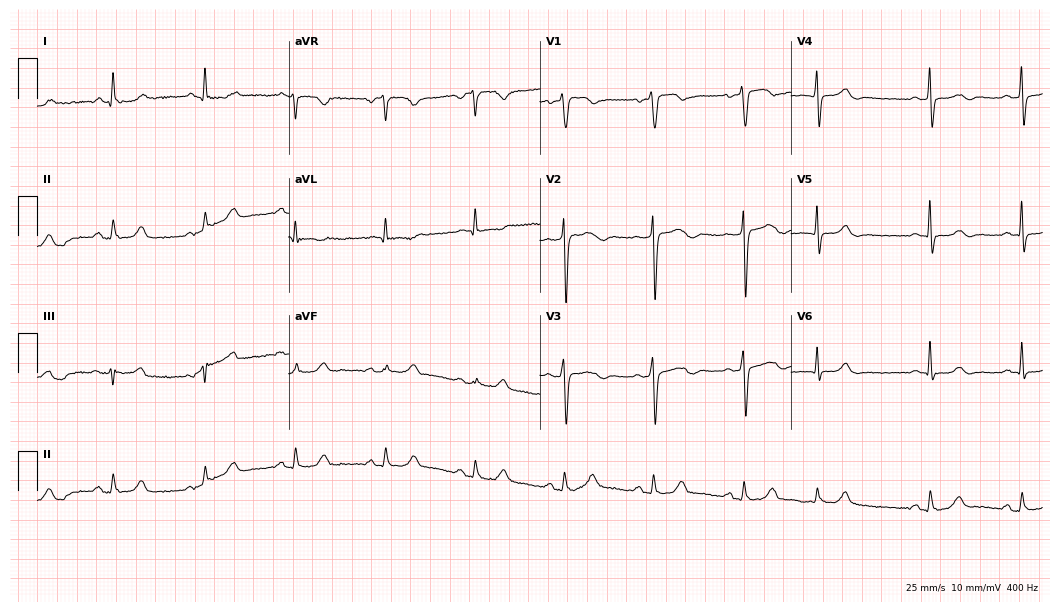
12-lead ECG from a 57-year-old female patient. Recorded interpretation: within normal limits.